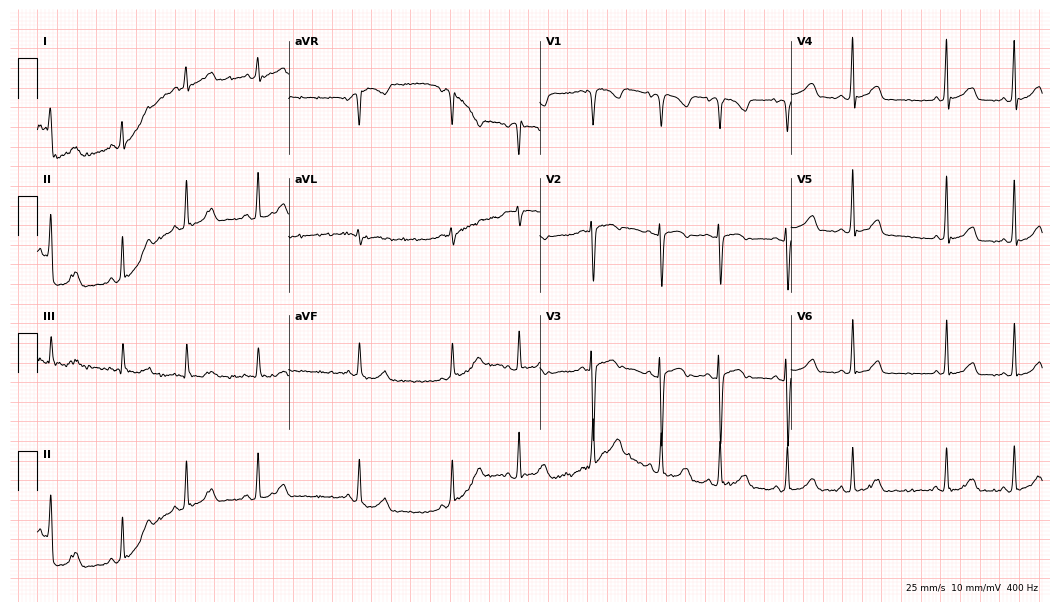
Resting 12-lead electrocardiogram. Patient: a woman, 34 years old. Read as a normal ECG.